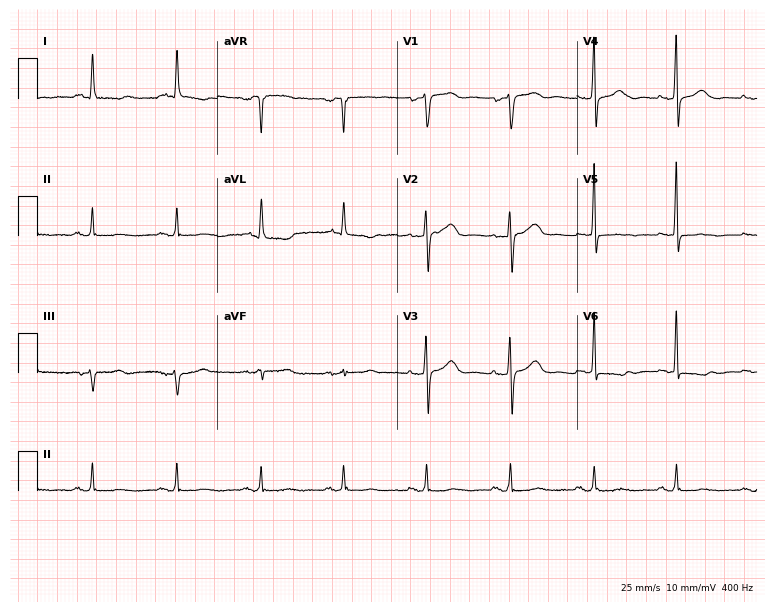
ECG — a woman, 73 years old. Screened for six findings — first-degree AV block, right bundle branch block (RBBB), left bundle branch block (LBBB), sinus bradycardia, atrial fibrillation (AF), sinus tachycardia — none is recorded.